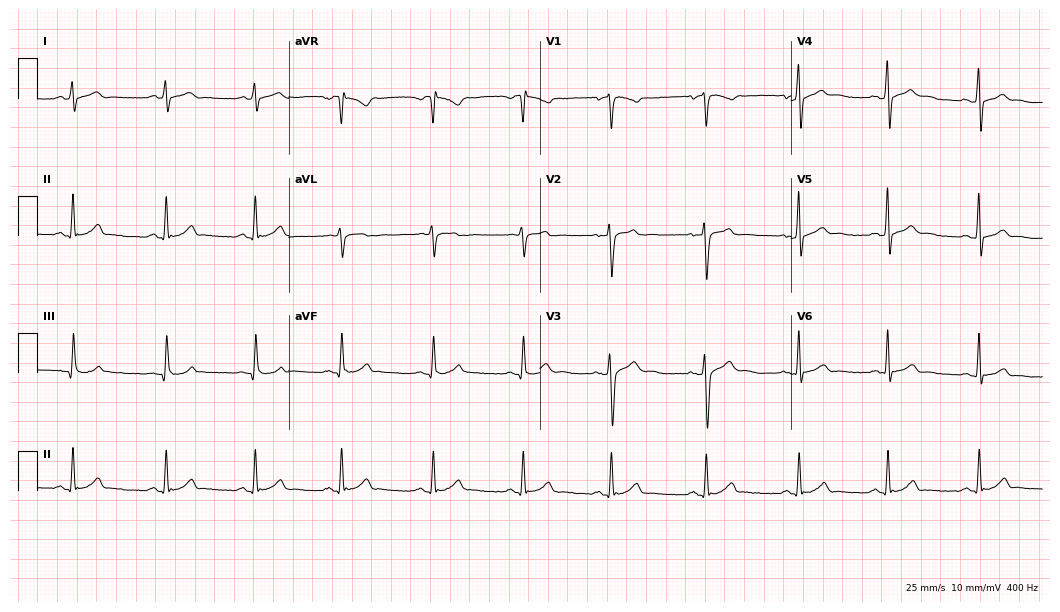
12-lead ECG (10.2-second recording at 400 Hz) from a 38-year-old female. Screened for six findings — first-degree AV block, right bundle branch block, left bundle branch block, sinus bradycardia, atrial fibrillation, sinus tachycardia — none is recorded.